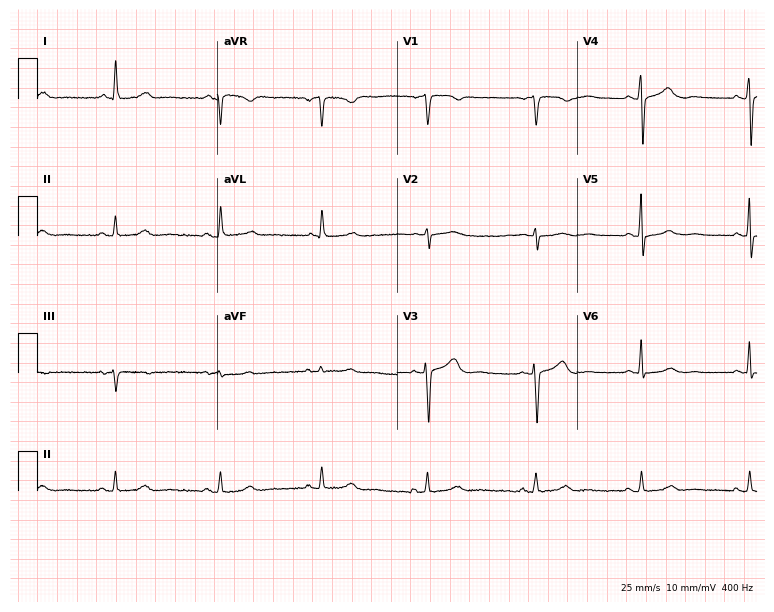
12-lead ECG from a female patient, 48 years old. Screened for six findings — first-degree AV block, right bundle branch block, left bundle branch block, sinus bradycardia, atrial fibrillation, sinus tachycardia — none is recorded.